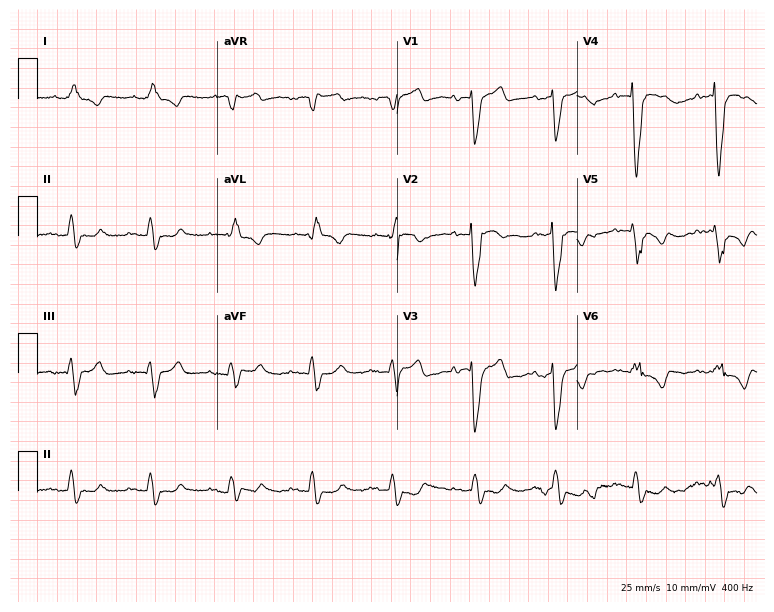
Electrocardiogram (7.3-second recording at 400 Hz), a 72-year-old man. Interpretation includes left bundle branch block (LBBB).